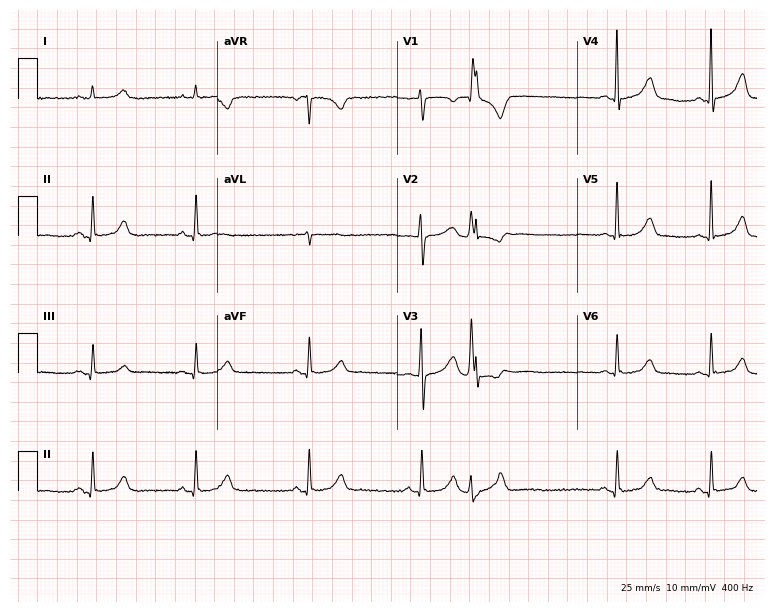
12-lead ECG (7.3-second recording at 400 Hz) from a female, 62 years old. Labelled as a normal ECG.